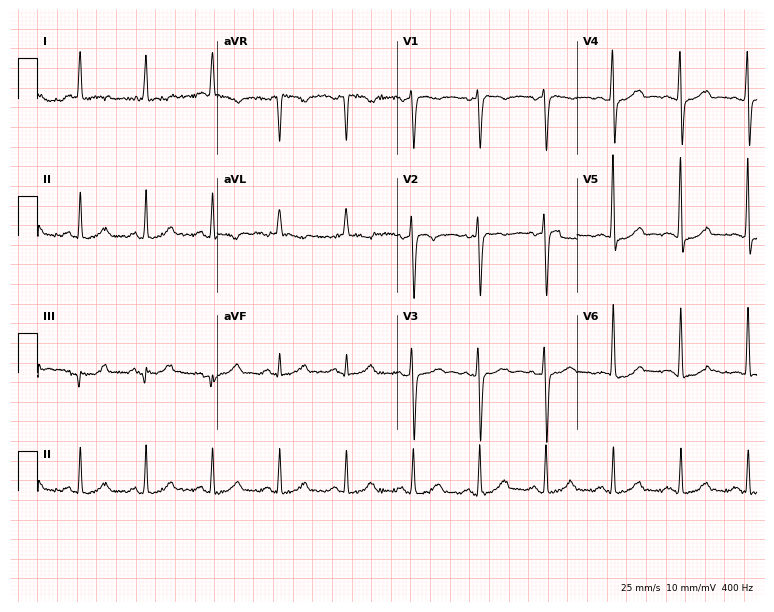
Electrocardiogram, a female, 57 years old. Of the six screened findings (first-degree AV block, right bundle branch block, left bundle branch block, sinus bradycardia, atrial fibrillation, sinus tachycardia), none is recorded.